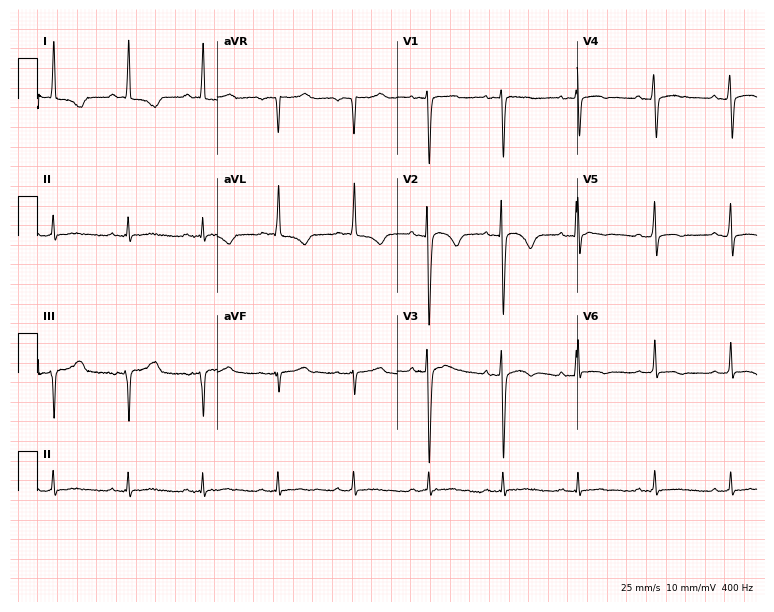
Standard 12-lead ECG recorded from a man, 74 years old. None of these six findings is recorded: first-degree AV block, right bundle branch block (RBBB), left bundle branch block (LBBB), sinus bradycardia, atrial fibrillation (AF), sinus tachycardia. Findings outside these six are not listed.